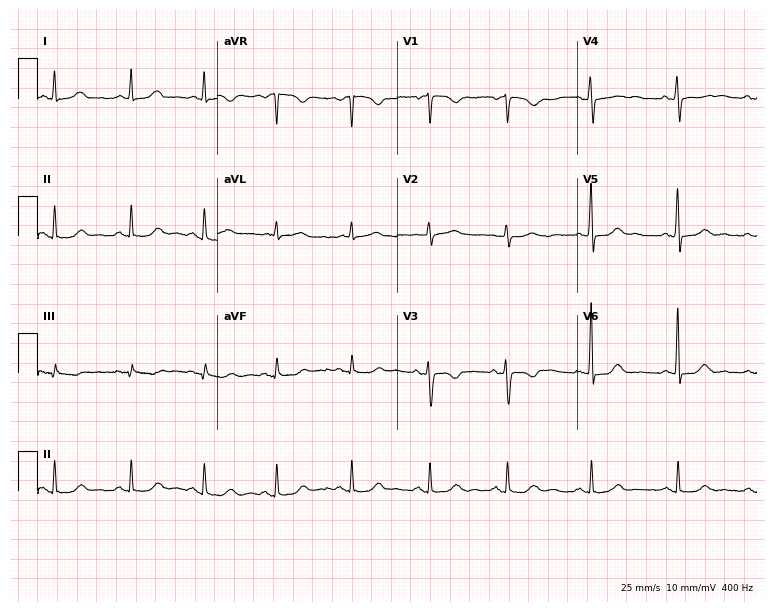
12-lead ECG from a female patient, 37 years old (7.3-second recording at 400 Hz). No first-degree AV block, right bundle branch block, left bundle branch block, sinus bradycardia, atrial fibrillation or sinus tachycardia recorded for this tracing. Other findings, if any, are not listed.